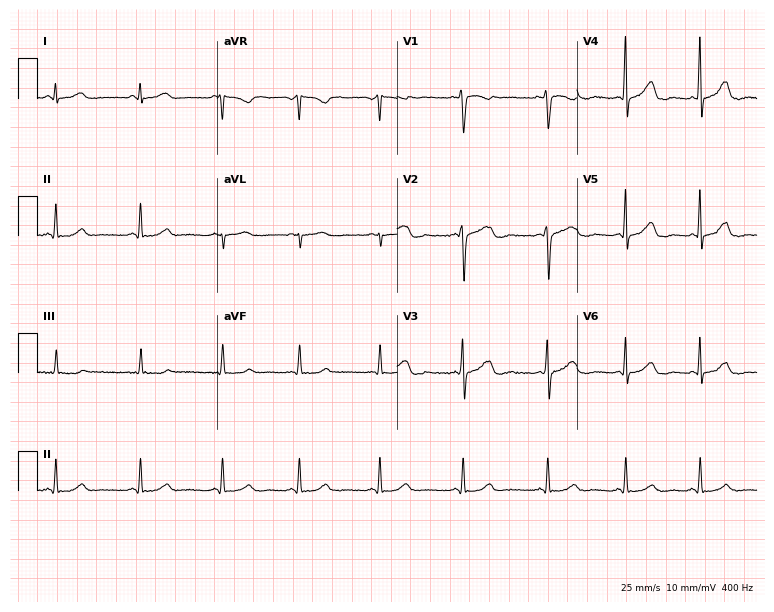
12-lead ECG from a 31-year-old female (7.3-second recording at 400 Hz). Recorded interpretation: within normal limits.